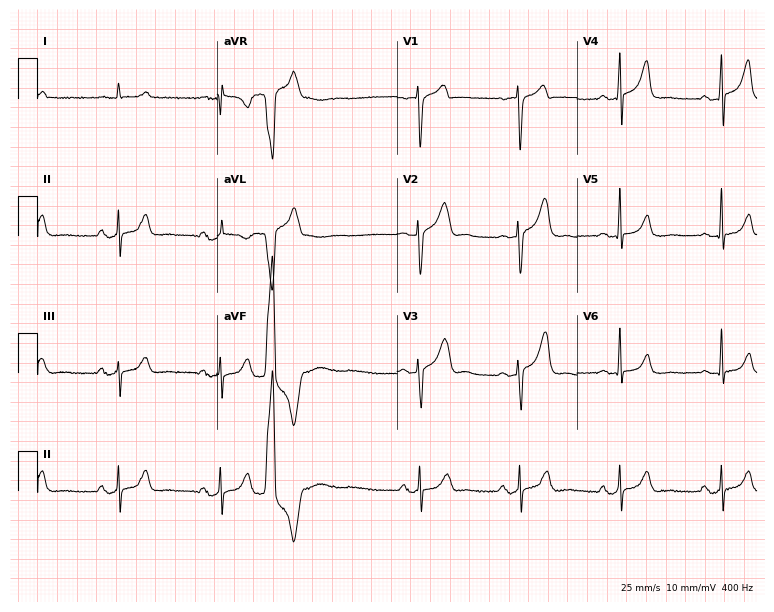
ECG — a 75-year-old male. Screened for six findings — first-degree AV block, right bundle branch block, left bundle branch block, sinus bradycardia, atrial fibrillation, sinus tachycardia — none is recorded. Findings outside these six are not listed.